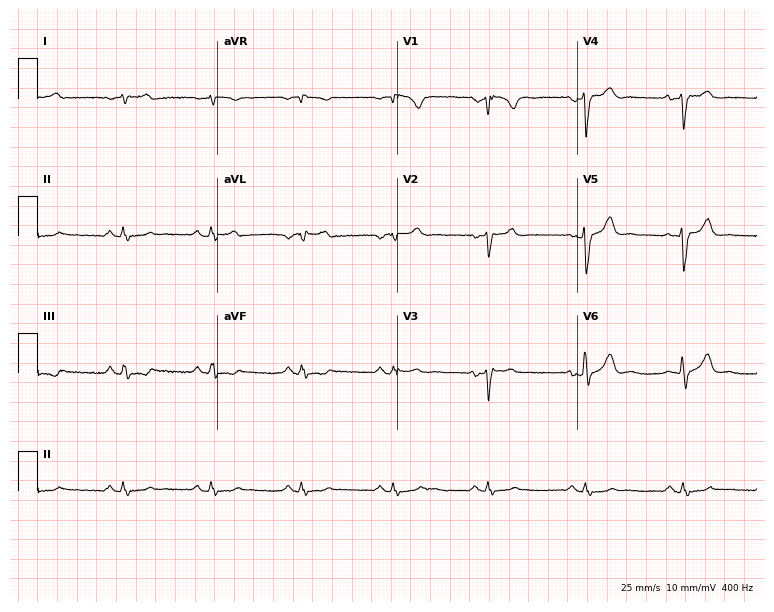
12-lead ECG (7.3-second recording at 400 Hz) from a male, 61 years old. Screened for six findings — first-degree AV block, right bundle branch block, left bundle branch block, sinus bradycardia, atrial fibrillation, sinus tachycardia — none is recorded. Findings outside these six are not listed.